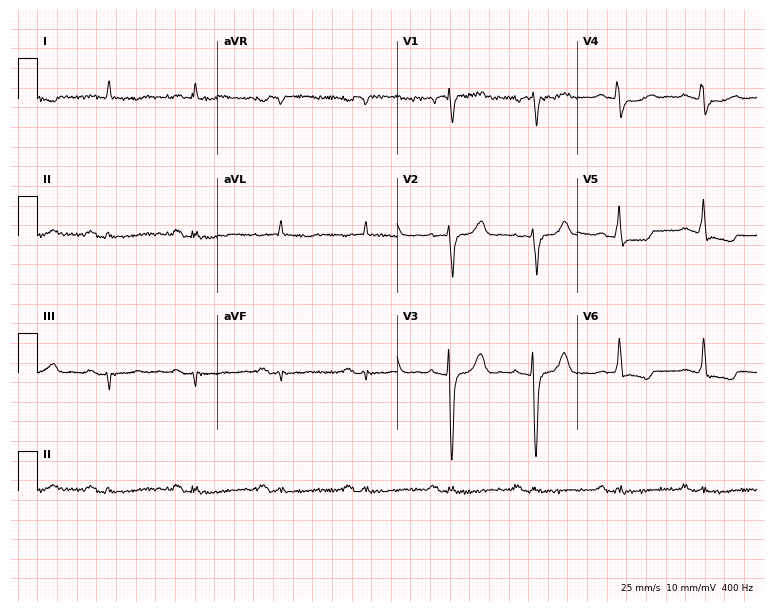
ECG (7.3-second recording at 400 Hz) — a 61-year-old woman. Screened for six findings — first-degree AV block, right bundle branch block, left bundle branch block, sinus bradycardia, atrial fibrillation, sinus tachycardia — none is recorded.